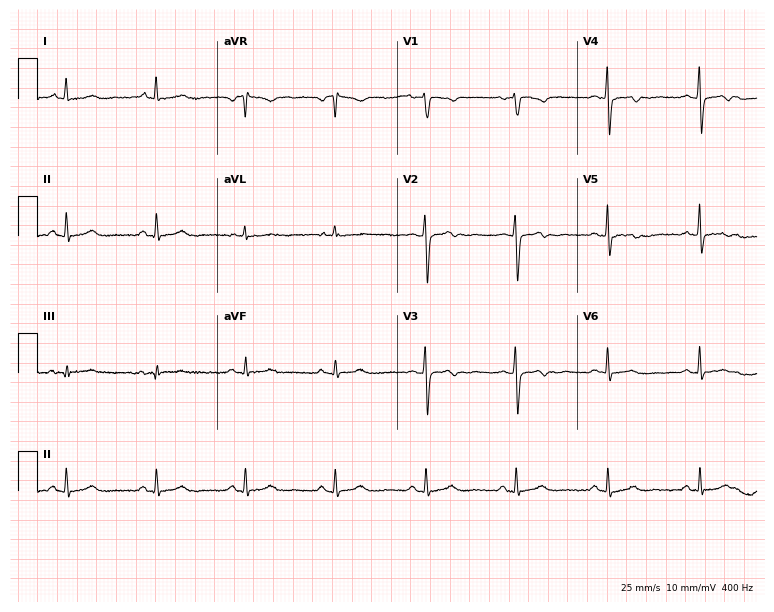
Electrocardiogram (7.3-second recording at 400 Hz), a 42-year-old female. Overall reading on record: normal ECG.